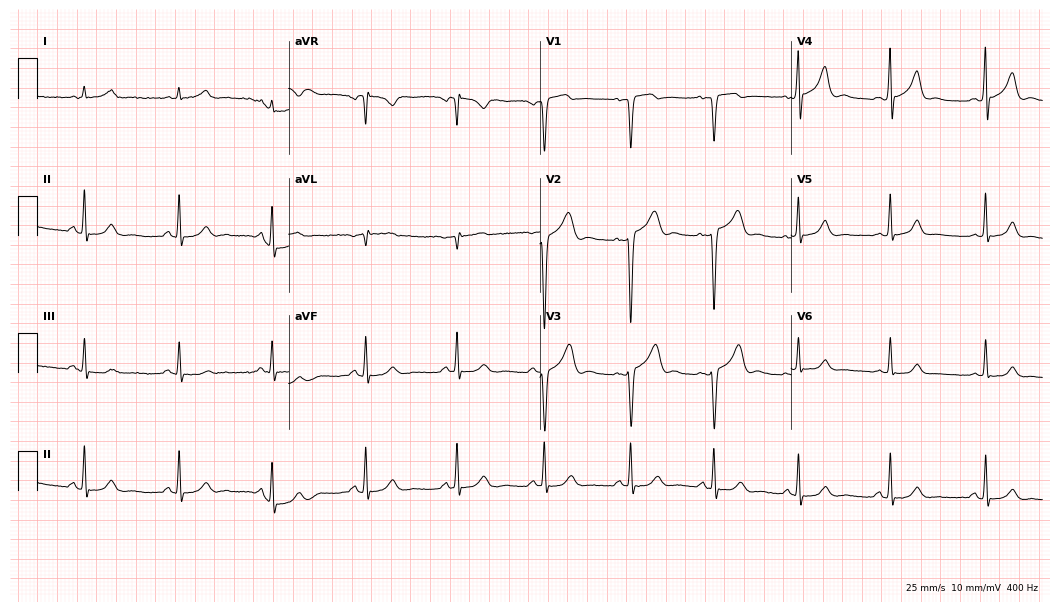
Resting 12-lead electrocardiogram. Patient: a male, 52 years old. None of these six findings is recorded: first-degree AV block, right bundle branch block, left bundle branch block, sinus bradycardia, atrial fibrillation, sinus tachycardia.